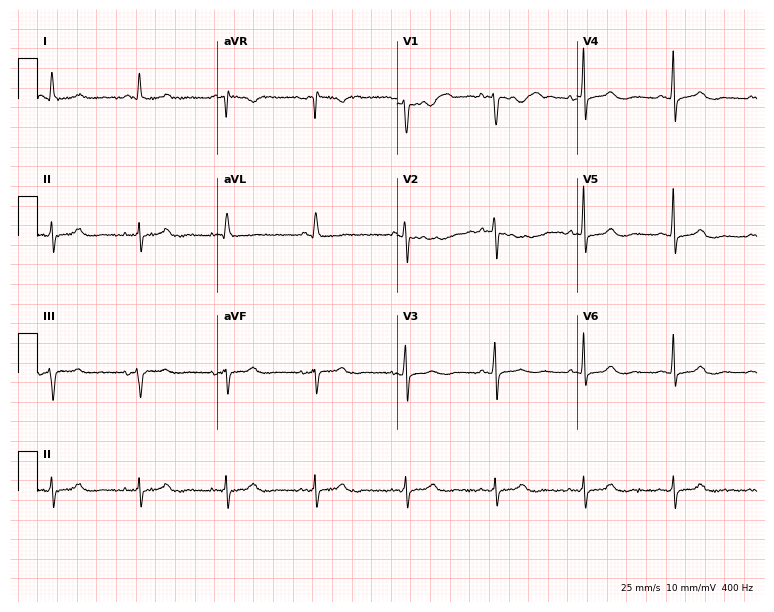
Electrocardiogram (7.3-second recording at 400 Hz), a female, 69 years old. Of the six screened findings (first-degree AV block, right bundle branch block, left bundle branch block, sinus bradycardia, atrial fibrillation, sinus tachycardia), none is recorded. Other findings, if any, are not listed.